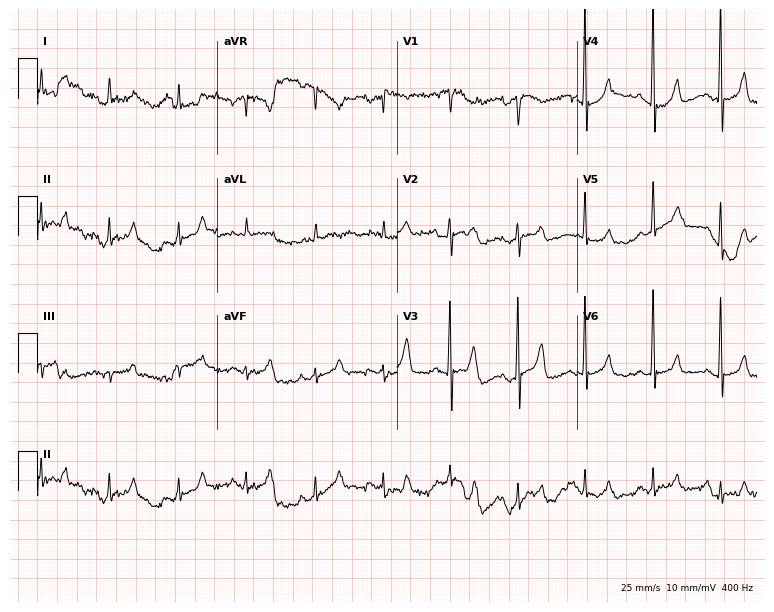
Resting 12-lead electrocardiogram (7.3-second recording at 400 Hz). Patient: a male, 82 years old. None of these six findings is recorded: first-degree AV block, right bundle branch block, left bundle branch block, sinus bradycardia, atrial fibrillation, sinus tachycardia.